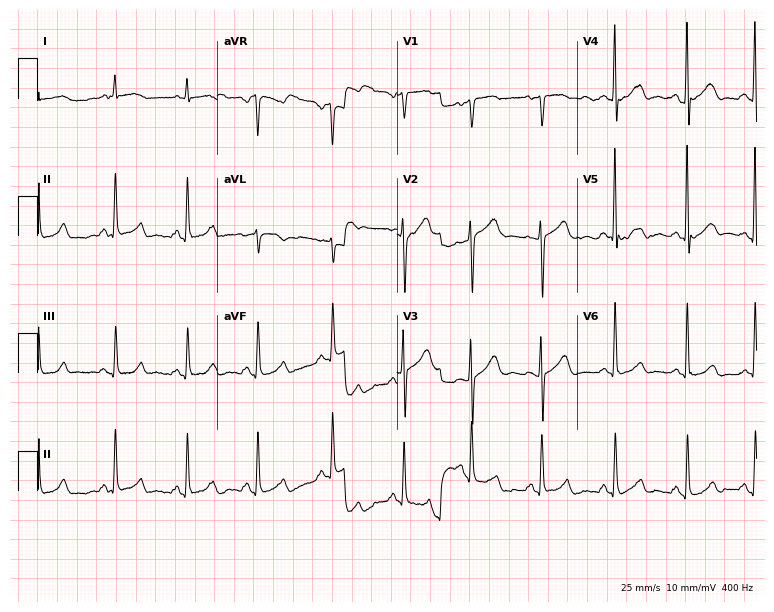
Electrocardiogram (7.3-second recording at 400 Hz), a 61-year-old female patient. Overall reading on record: normal ECG.